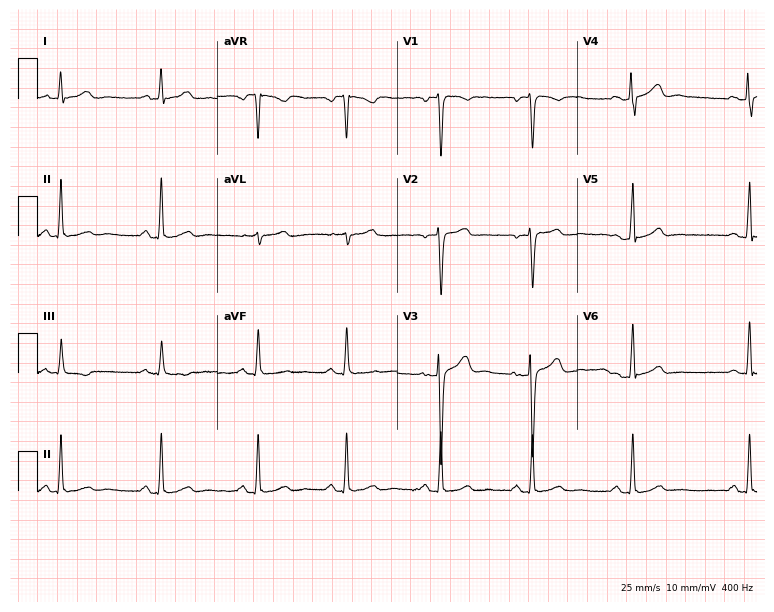
12-lead ECG from a female, 33 years old. Labelled as a normal ECG.